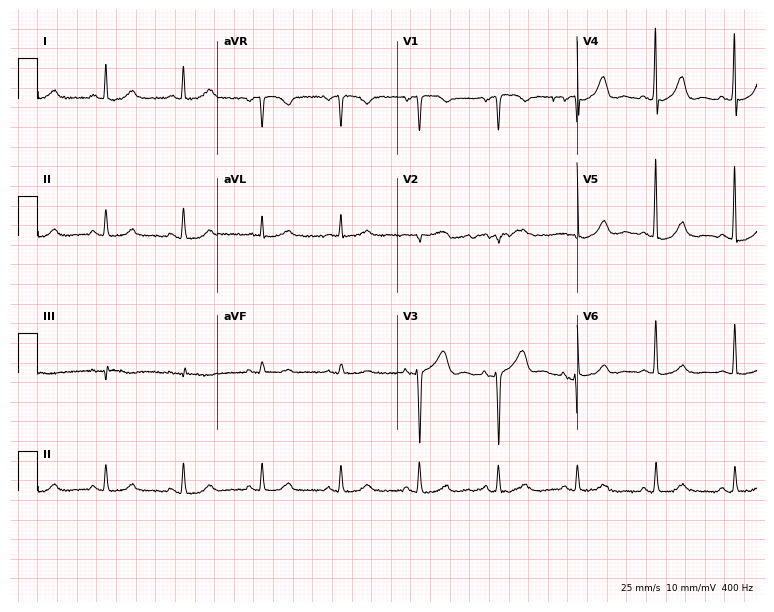
Resting 12-lead electrocardiogram (7.3-second recording at 400 Hz). Patient: an 82-year-old female. None of these six findings is recorded: first-degree AV block, right bundle branch block (RBBB), left bundle branch block (LBBB), sinus bradycardia, atrial fibrillation (AF), sinus tachycardia. Only these six findings were labelled.